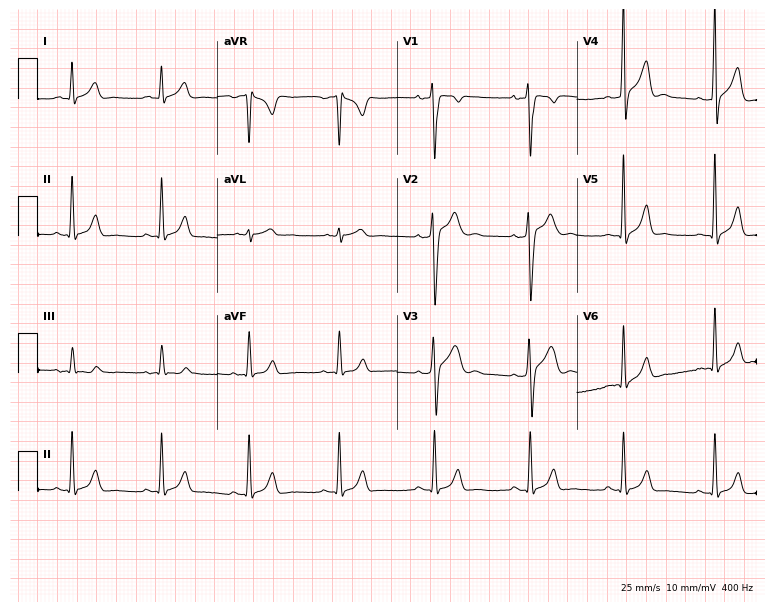
Resting 12-lead electrocardiogram. Patient: a 24-year-old male. None of these six findings is recorded: first-degree AV block, right bundle branch block, left bundle branch block, sinus bradycardia, atrial fibrillation, sinus tachycardia.